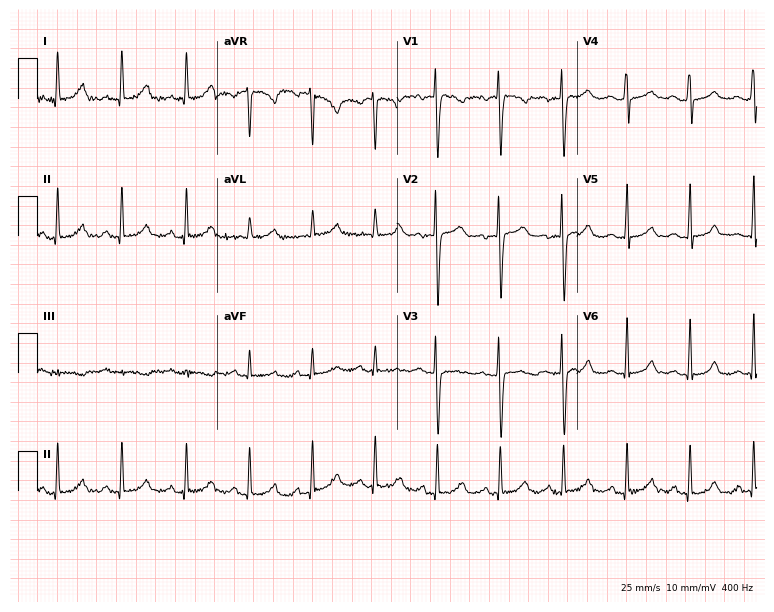
ECG (7.3-second recording at 400 Hz) — a 26-year-old female. Labelled as a normal ECG.